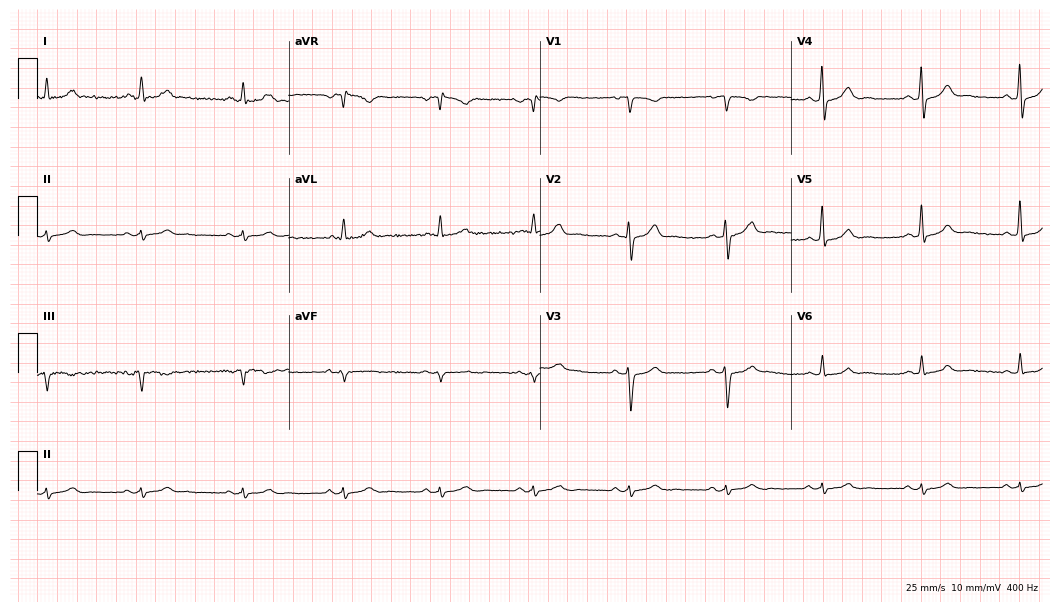
12-lead ECG from a male, 48 years old. Labelled as a normal ECG.